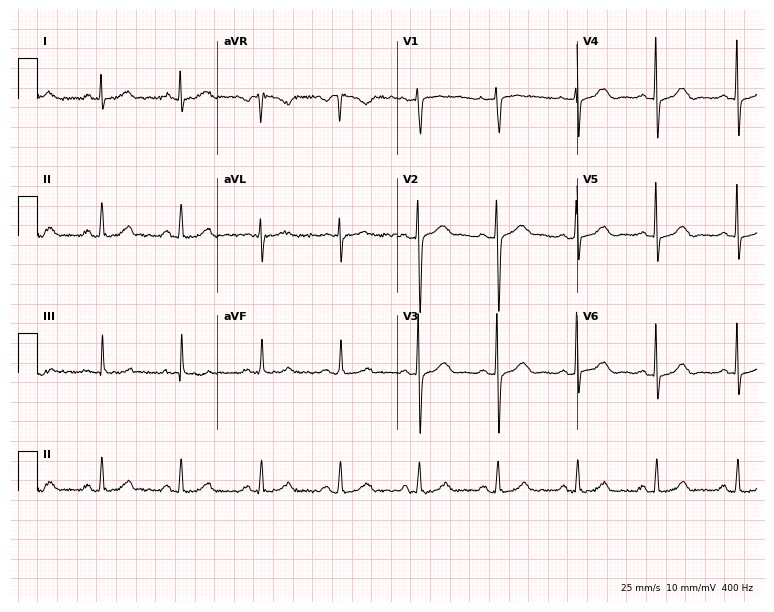
Resting 12-lead electrocardiogram. Patient: a female, 43 years old. None of these six findings is recorded: first-degree AV block, right bundle branch block, left bundle branch block, sinus bradycardia, atrial fibrillation, sinus tachycardia.